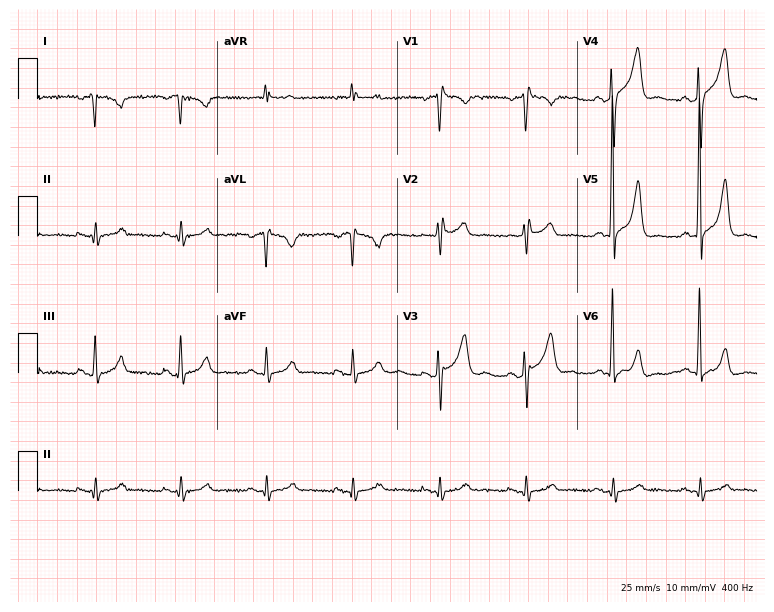
Standard 12-lead ECG recorded from a 58-year-old male (7.3-second recording at 400 Hz). None of these six findings is recorded: first-degree AV block, right bundle branch block, left bundle branch block, sinus bradycardia, atrial fibrillation, sinus tachycardia.